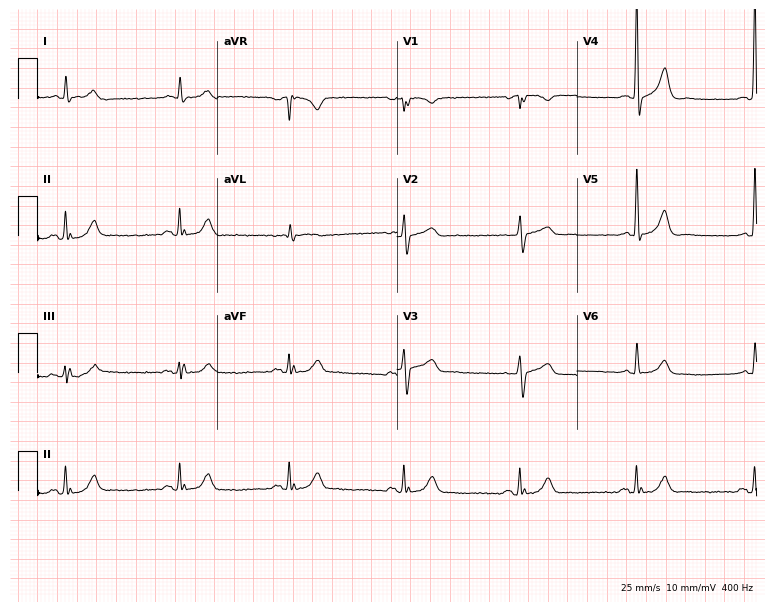
ECG — a 73-year-old male. Screened for six findings — first-degree AV block, right bundle branch block (RBBB), left bundle branch block (LBBB), sinus bradycardia, atrial fibrillation (AF), sinus tachycardia — none is recorded.